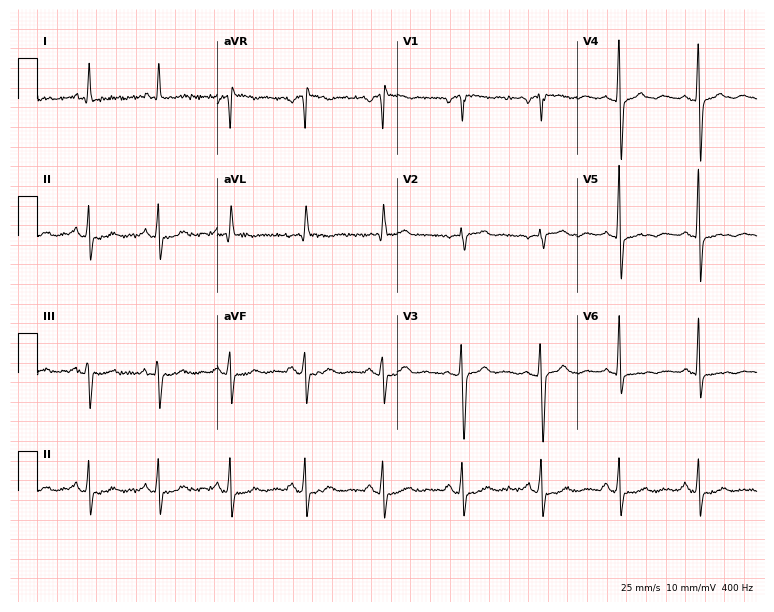
ECG (7.3-second recording at 400 Hz) — a male patient, 63 years old. Screened for six findings — first-degree AV block, right bundle branch block, left bundle branch block, sinus bradycardia, atrial fibrillation, sinus tachycardia — none is recorded. Other findings, if any, are not listed.